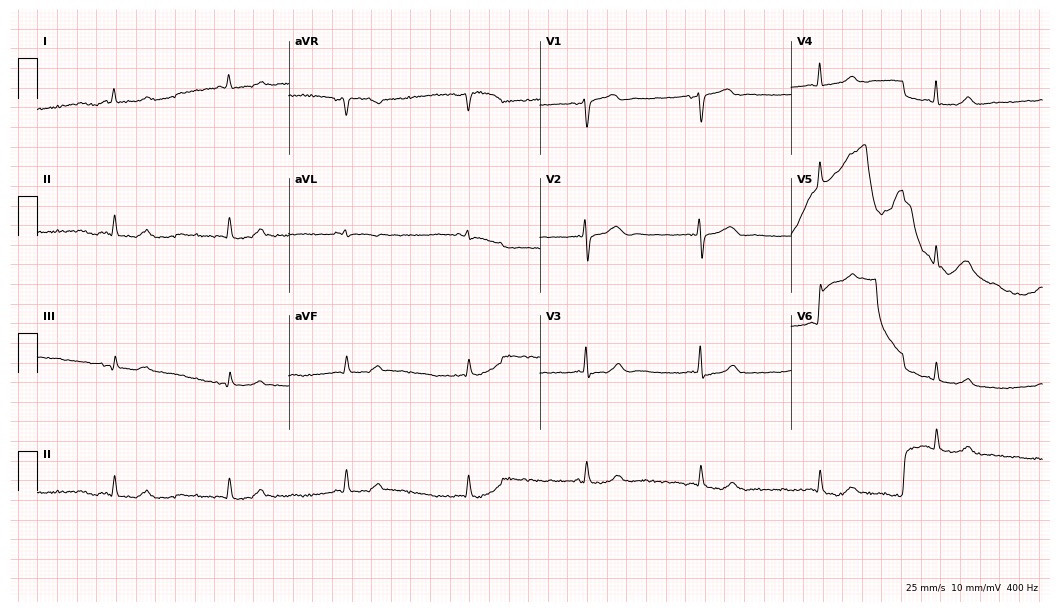
12-lead ECG from a female, 46 years old. No first-degree AV block, right bundle branch block, left bundle branch block, sinus bradycardia, atrial fibrillation or sinus tachycardia recorded for this tracing. Only these six findings were labelled.